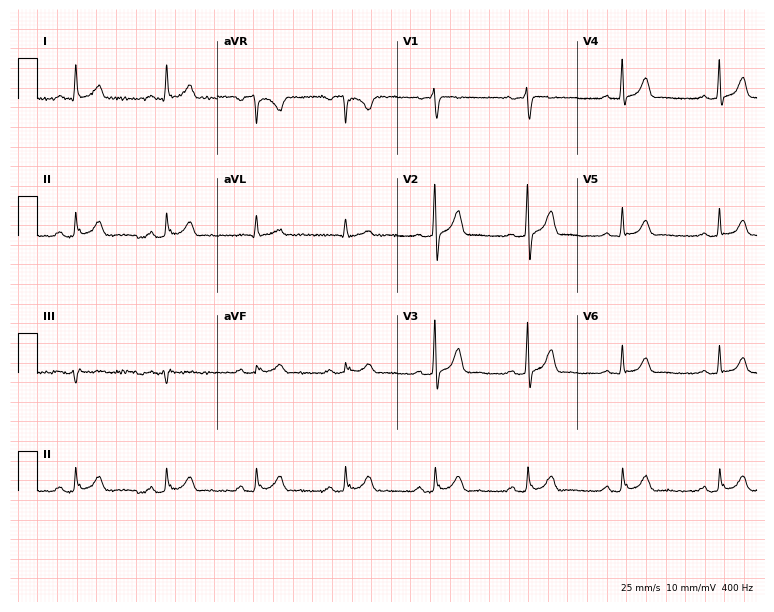
Standard 12-lead ECG recorded from a 66-year-old female (7.3-second recording at 400 Hz). None of these six findings is recorded: first-degree AV block, right bundle branch block, left bundle branch block, sinus bradycardia, atrial fibrillation, sinus tachycardia. Other findings, if any, are not listed.